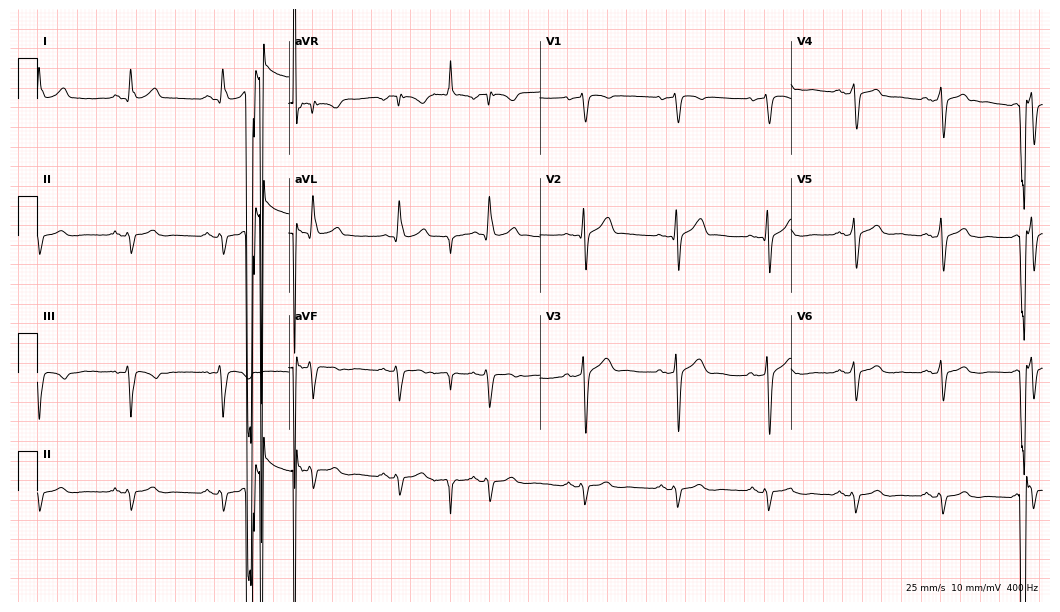
Standard 12-lead ECG recorded from a male patient, 46 years old. None of these six findings is recorded: first-degree AV block, right bundle branch block, left bundle branch block, sinus bradycardia, atrial fibrillation, sinus tachycardia.